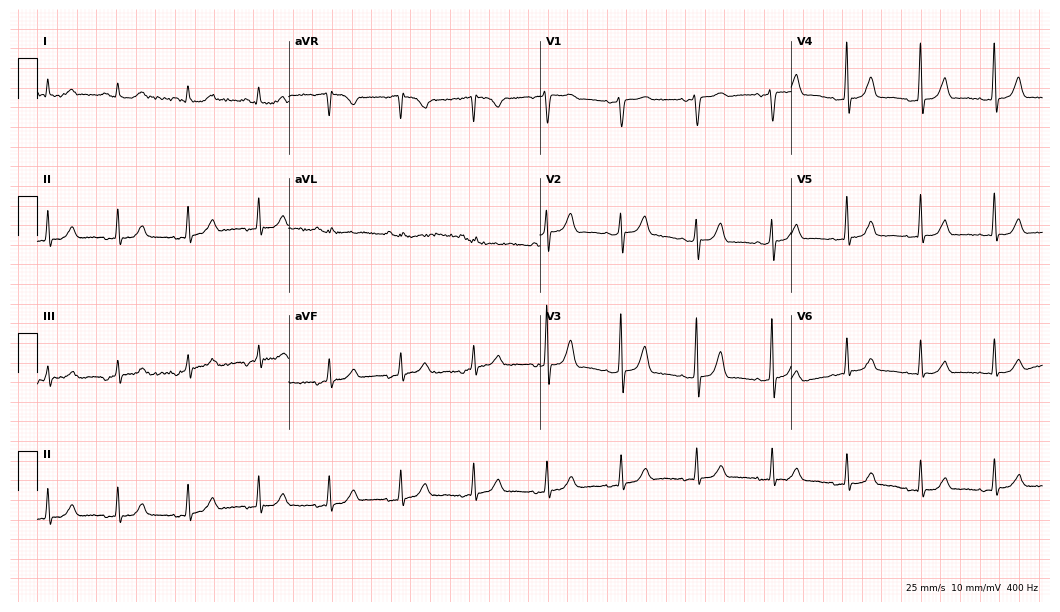
Resting 12-lead electrocardiogram. Patient: a female, 64 years old. None of these six findings is recorded: first-degree AV block, right bundle branch block, left bundle branch block, sinus bradycardia, atrial fibrillation, sinus tachycardia. Other findings, if any, are not listed.